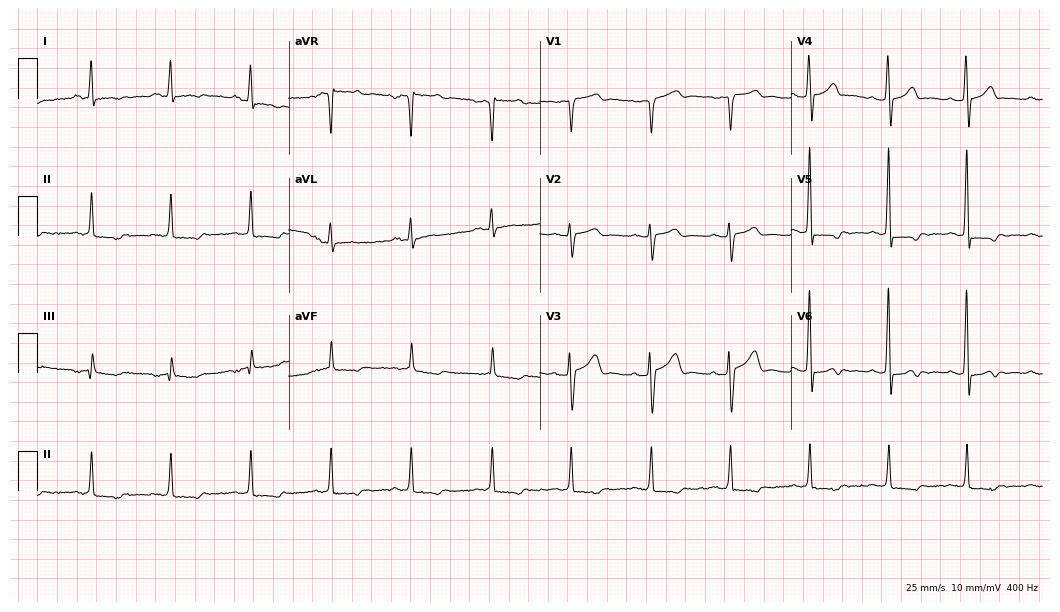
Electrocardiogram, a 47-year-old male patient. Of the six screened findings (first-degree AV block, right bundle branch block, left bundle branch block, sinus bradycardia, atrial fibrillation, sinus tachycardia), none is recorded. Only these six findings were labelled.